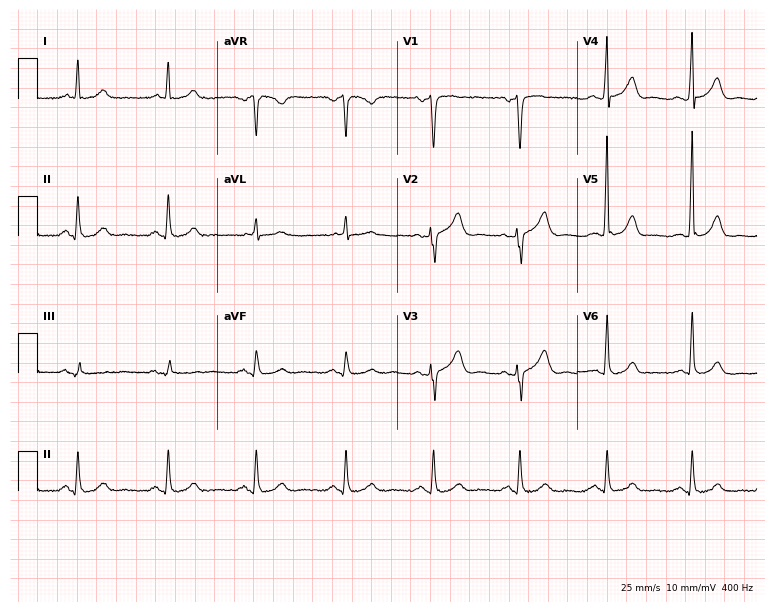
Resting 12-lead electrocardiogram (7.3-second recording at 400 Hz). Patient: a man, 64 years old. Read as a normal ECG.